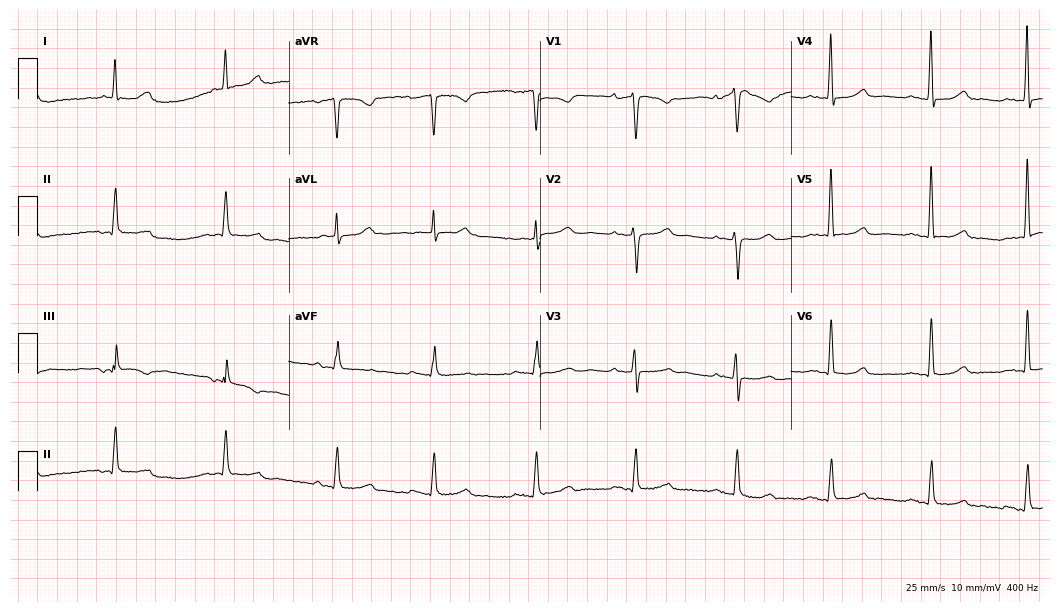
Resting 12-lead electrocardiogram (10.2-second recording at 400 Hz). Patient: a 77-year-old woman. None of these six findings is recorded: first-degree AV block, right bundle branch block, left bundle branch block, sinus bradycardia, atrial fibrillation, sinus tachycardia.